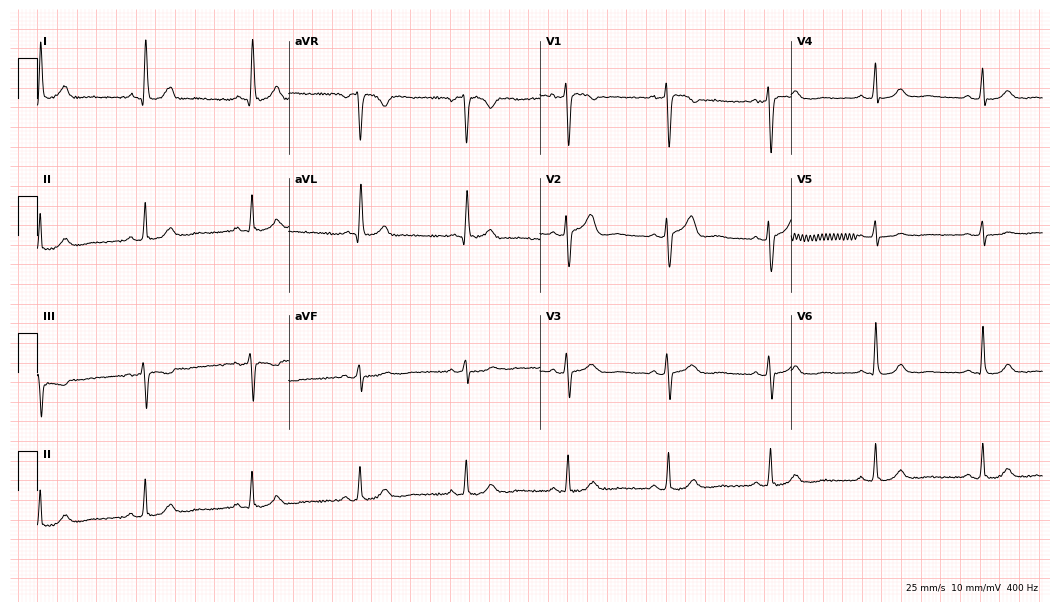
Standard 12-lead ECG recorded from a female, 60 years old. Read as a normal ECG.